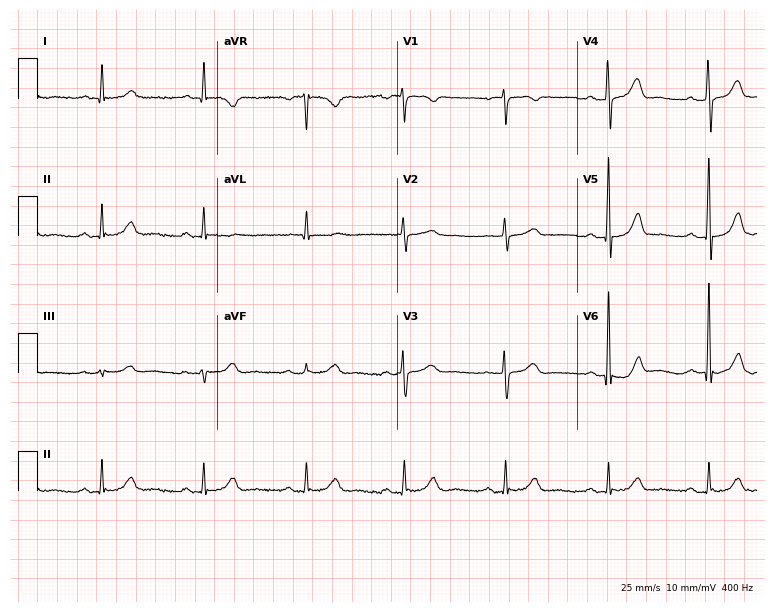
12-lead ECG from a 74-year-old woman. No first-degree AV block, right bundle branch block, left bundle branch block, sinus bradycardia, atrial fibrillation or sinus tachycardia recorded for this tracing. Only these six findings were labelled.